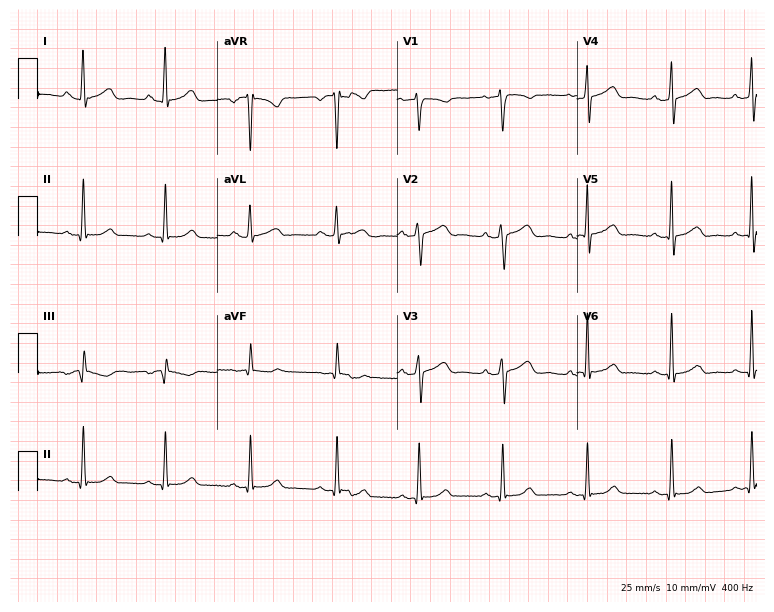
Standard 12-lead ECG recorded from a 34-year-old woman. None of these six findings is recorded: first-degree AV block, right bundle branch block, left bundle branch block, sinus bradycardia, atrial fibrillation, sinus tachycardia. Other findings, if any, are not listed.